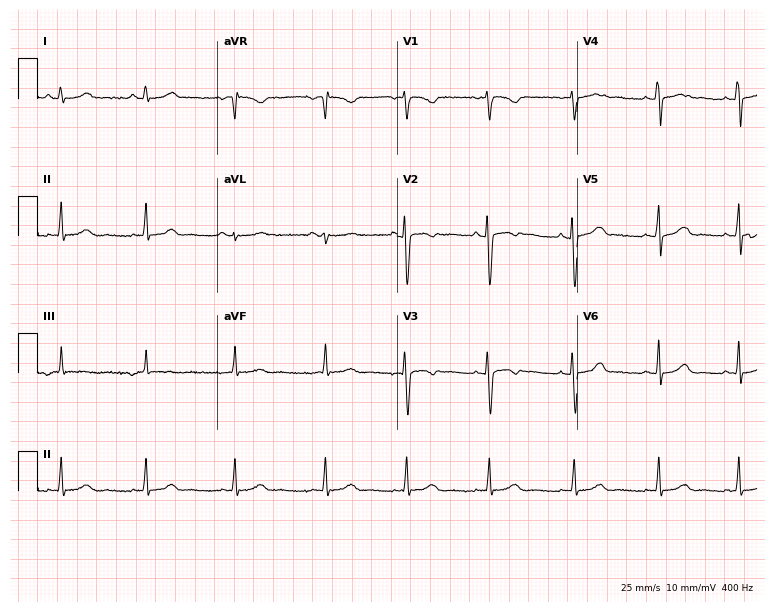
ECG — a 30-year-old female patient. Screened for six findings — first-degree AV block, right bundle branch block, left bundle branch block, sinus bradycardia, atrial fibrillation, sinus tachycardia — none is recorded. Other findings, if any, are not listed.